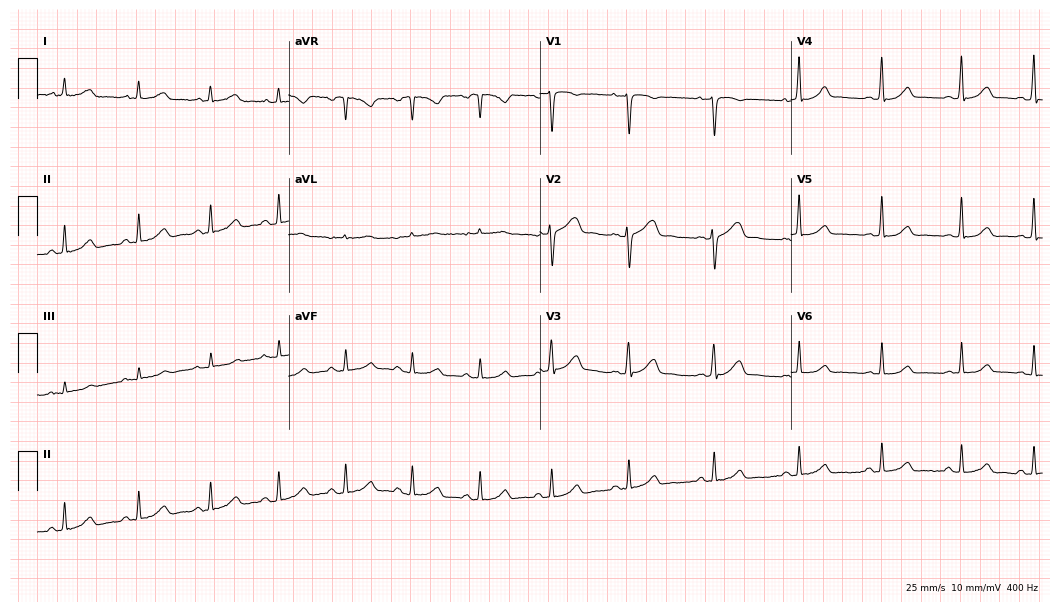
Electrocardiogram (10.2-second recording at 400 Hz), a 35-year-old female. Overall reading on record: normal ECG.